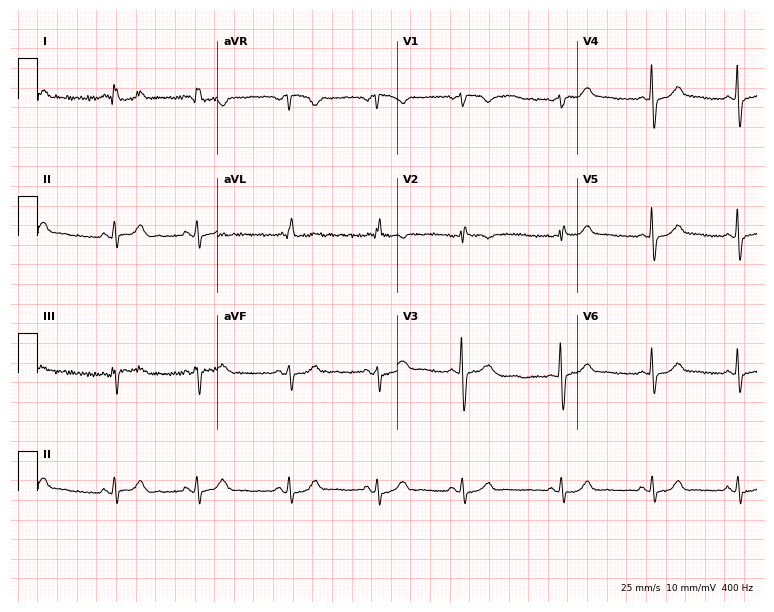
12-lead ECG from a 20-year-old female (7.3-second recording at 400 Hz). Recorded interpretation: within normal limits.